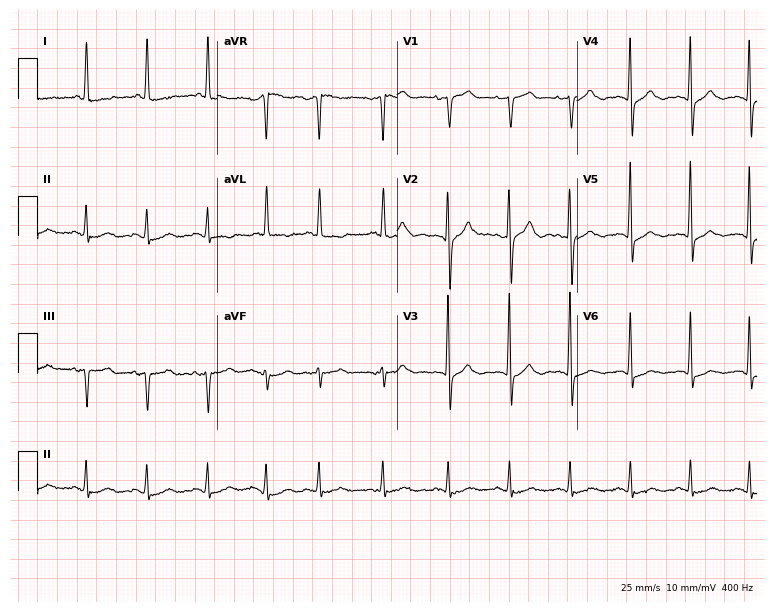
ECG — a female, 83 years old. Screened for six findings — first-degree AV block, right bundle branch block, left bundle branch block, sinus bradycardia, atrial fibrillation, sinus tachycardia — none is recorded.